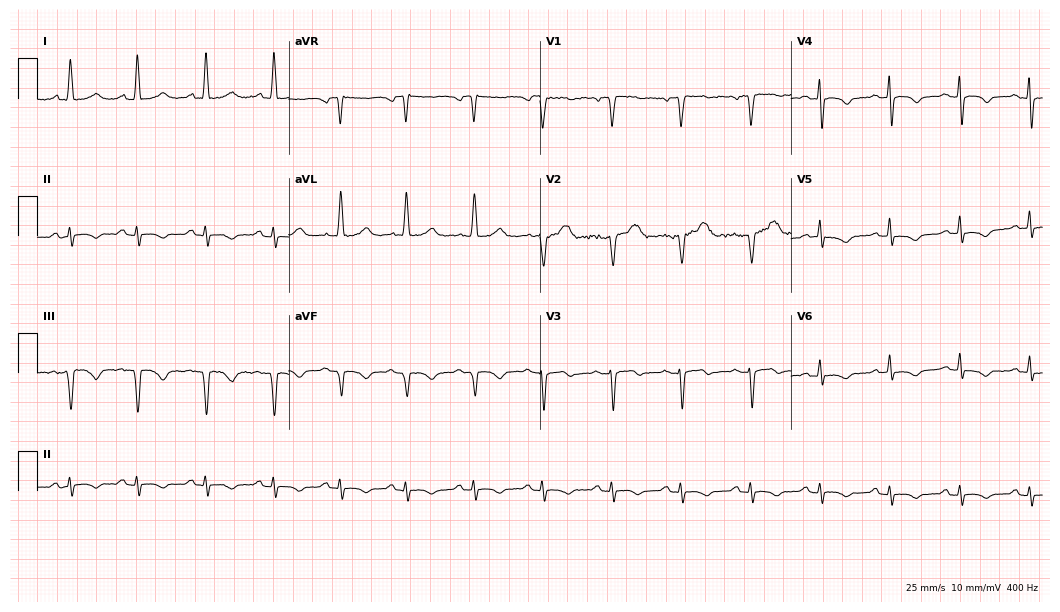
Resting 12-lead electrocardiogram. Patient: a male, 69 years old. None of these six findings is recorded: first-degree AV block, right bundle branch block, left bundle branch block, sinus bradycardia, atrial fibrillation, sinus tachycardia. Other findings, if any, are not listed.